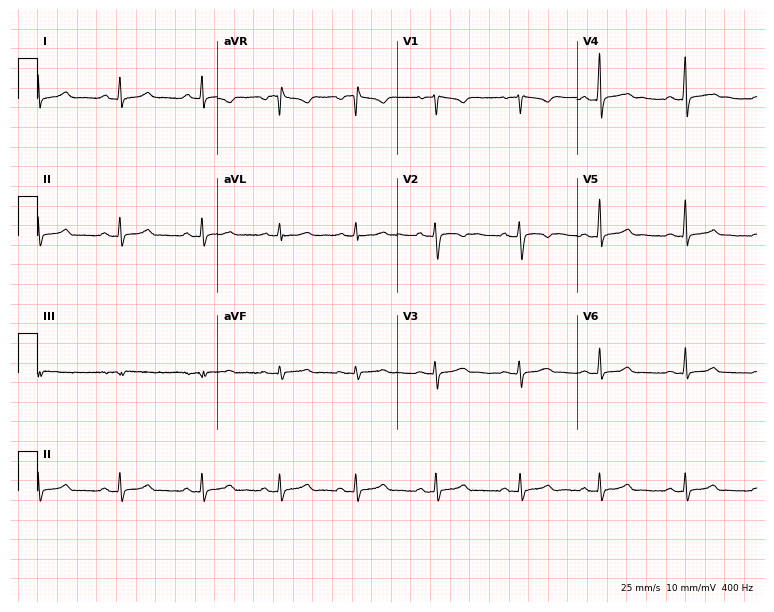
Standard 12-lead ECG recorded from a female, 33 years old (7.3-second recording at 400 Hz). Read as a normal ECG.